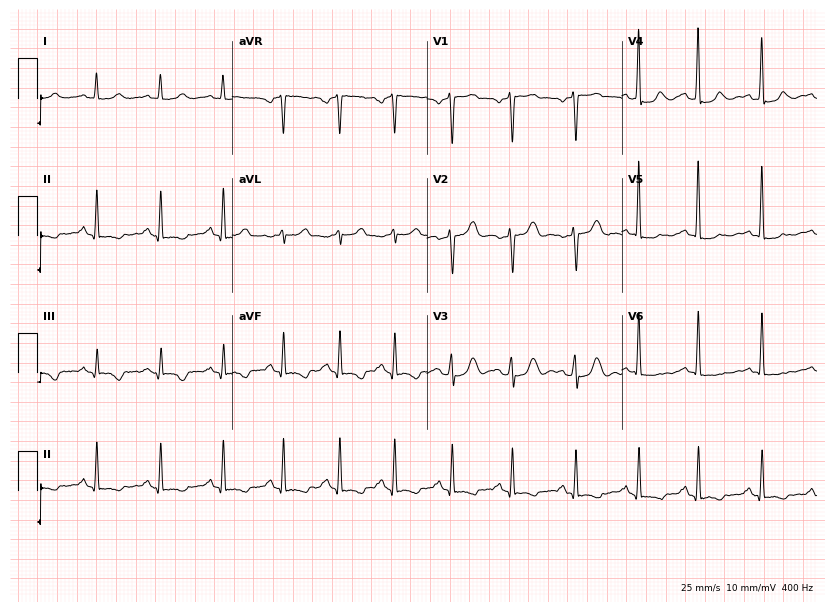
Standard 12-lead ECG recorded from a female, 52 years old (7.9-second recording at 400 Hz). None of these six findings is recorded: first-degree AV block, right bundle branch block, left bundle branch block, sinus bradycardia, atrial fibrillation, sinus tachycardia. Only these six findings were labelled.